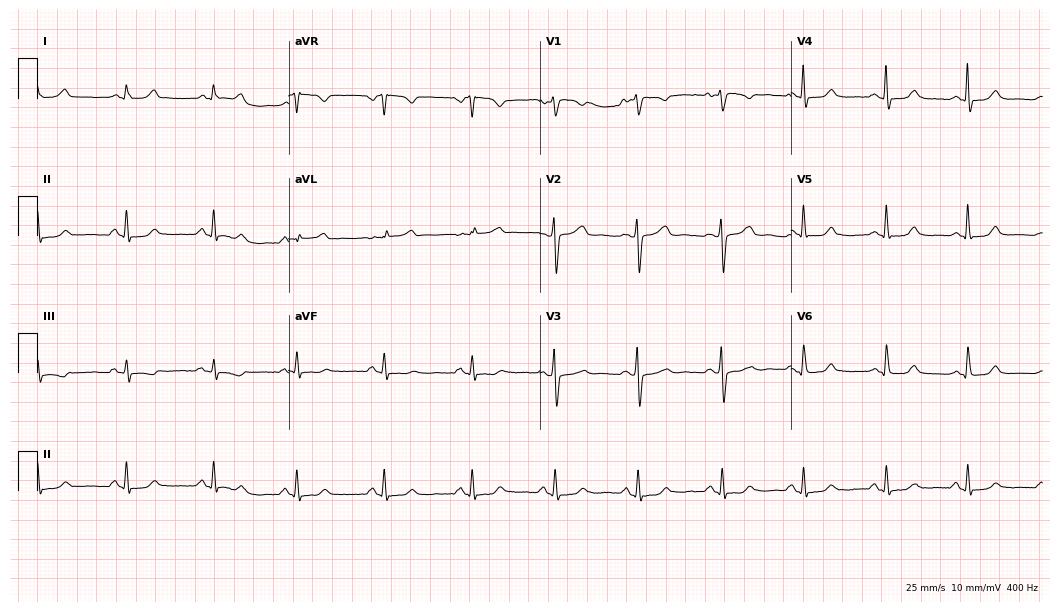
Standard 12-lead ECG recorded from a female, 40 years old. Read as a normal ECG.